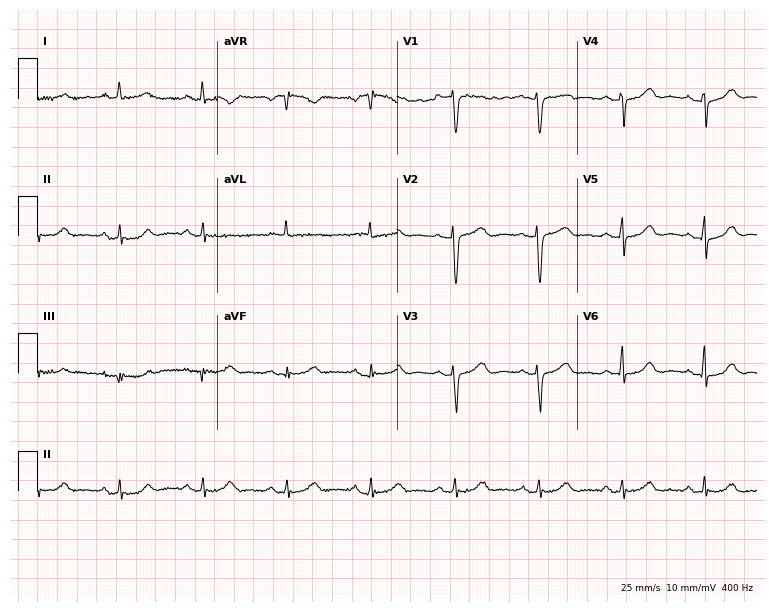
12-lead ECG from a female patient, 62 years old. Recorded interpretation: within normal limits.